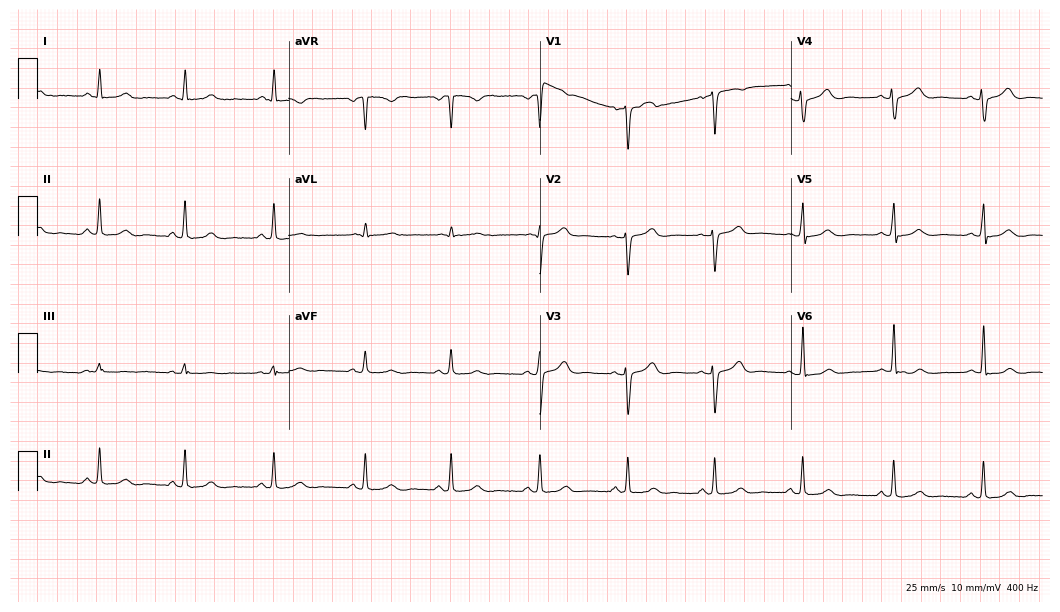
Standard 12-lead ECG recorded from a woman, 38 years old. Read as a normal ECG.